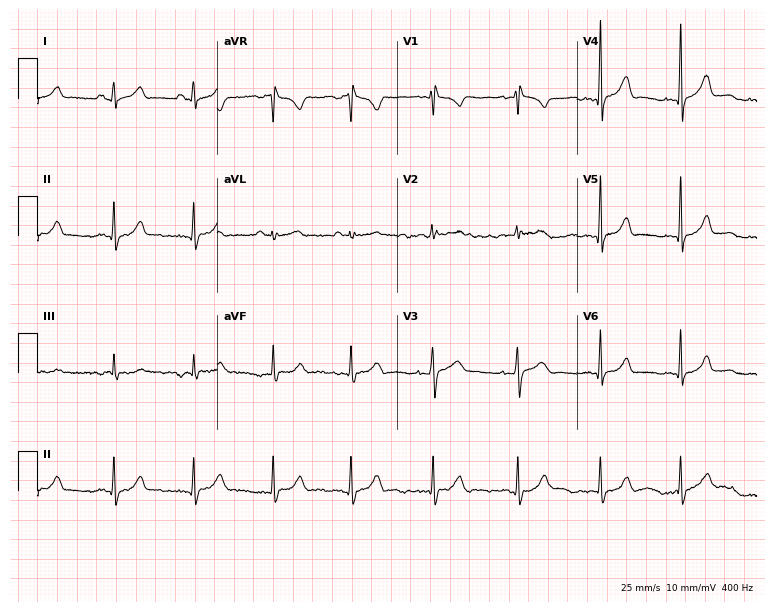
12-lead ECG from a female, 42 years old. Labelled as a normal ECG.